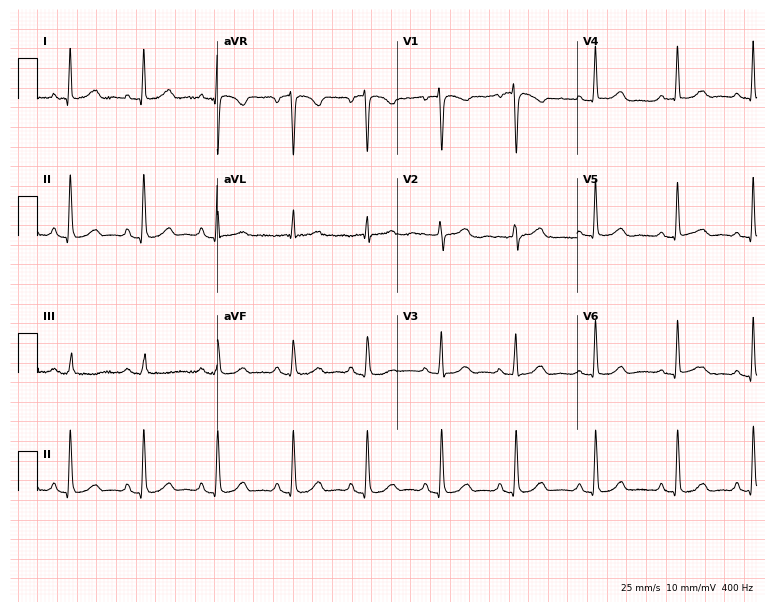
Standard 12-lead ECG recorded from a 56-year-old female (7.3-second recording at 400 Hz). Read as a normal ECG.